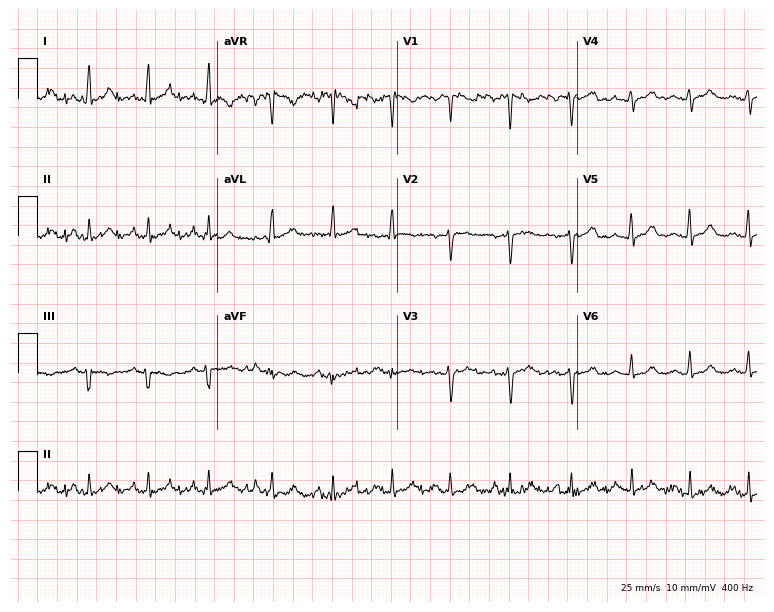
Resting 12-lead electrocardiogram. Patient: a female, 32 years old. None of these six findings is recorded: first-degree AV block, right bundle branch block, left bundle branch block, sinus bradycardia, atrial fibrillation, sinus tachycardia. Other findings, if any, are not listed.